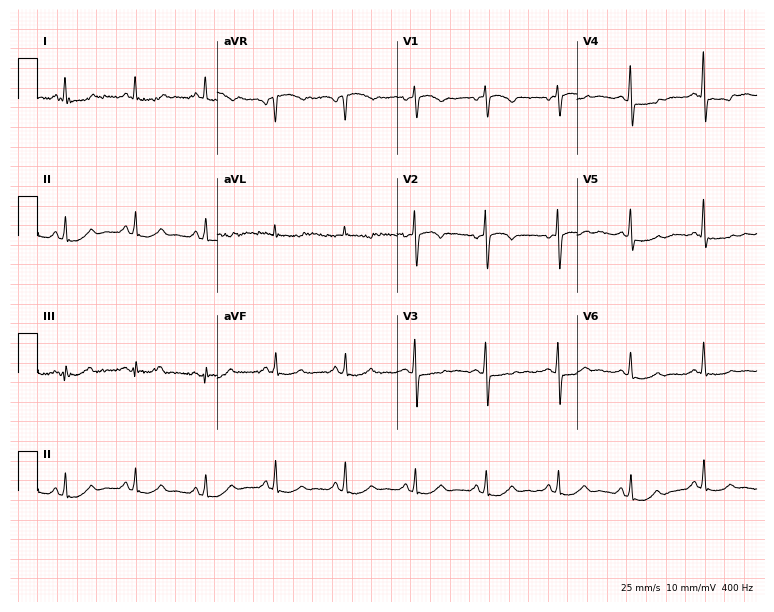
Electrocardiogram, a female patient, 69 years old. Overall reading on record: normal ECG.